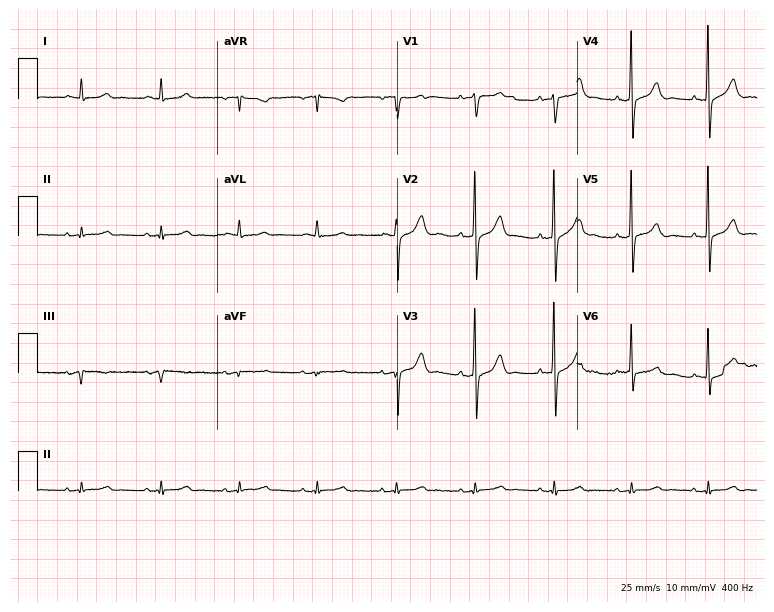
Electrocardiogram (7.3-second recording at 400 Hz), an 85-year-old male. Overall reading on record: normal ECG.